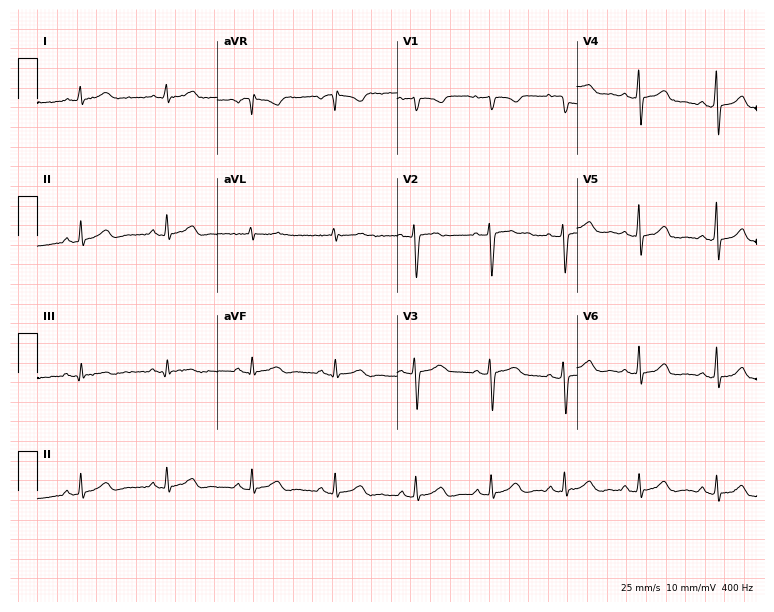
Resting 12-lead electrocardiogram. Patient: a female, 41 years old. None of these six findings is recorded: first-degree AV block, right bundle branch block (RBBB), left bundle branch block (LBBB), sinus bradycardia, atrial fibrillation (AF), sinus tachycardia.